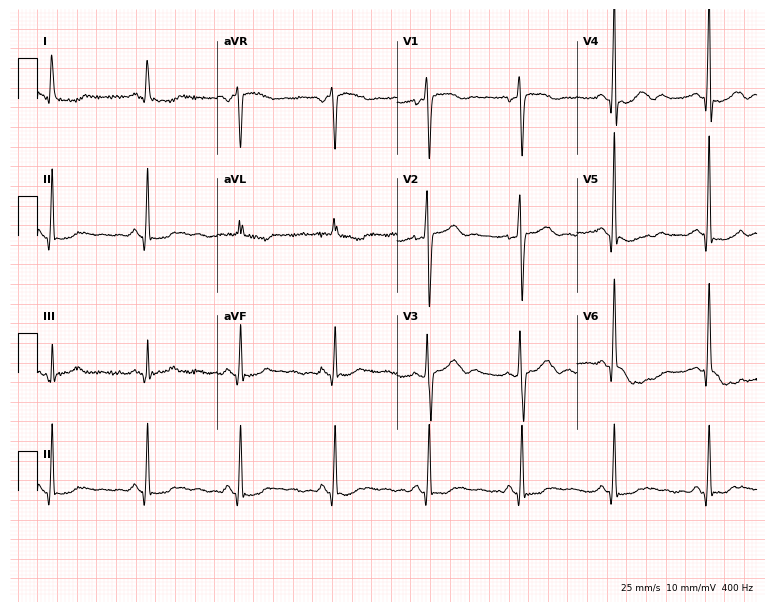
Standard 12-lead ECG recorded from a 51-year-old female (7.3-second recording at 400 Hz). None of these six findings is recorded: first-degree AV block, right bundle branch block, left bundle branch block, sinus bradycardia, atrial fibrillation, sinus tachycardia. Other findings, if any, are not listed.